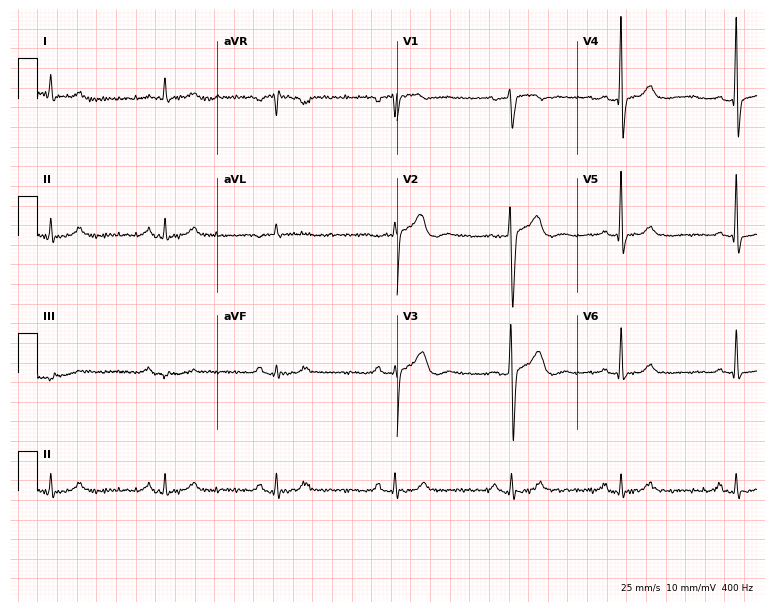
Electrocardiogram (7.3-second recording at 400 Hz), a man, 55 years old. Of the six screened findings (first-degree AV block, right bundle branch block, left bundle branch block, sinus bradycardia, atrial fibrillation, sinus tachycardia), none is recorded.